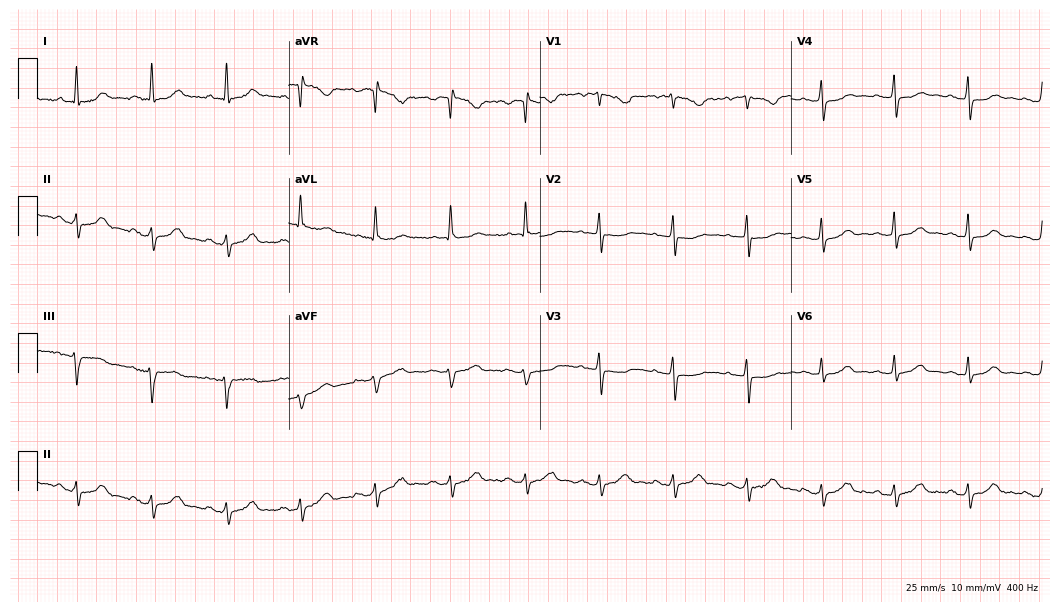
12-lead ECG from a 65-year-old female patient. Recorded interpretation: within normal limits.